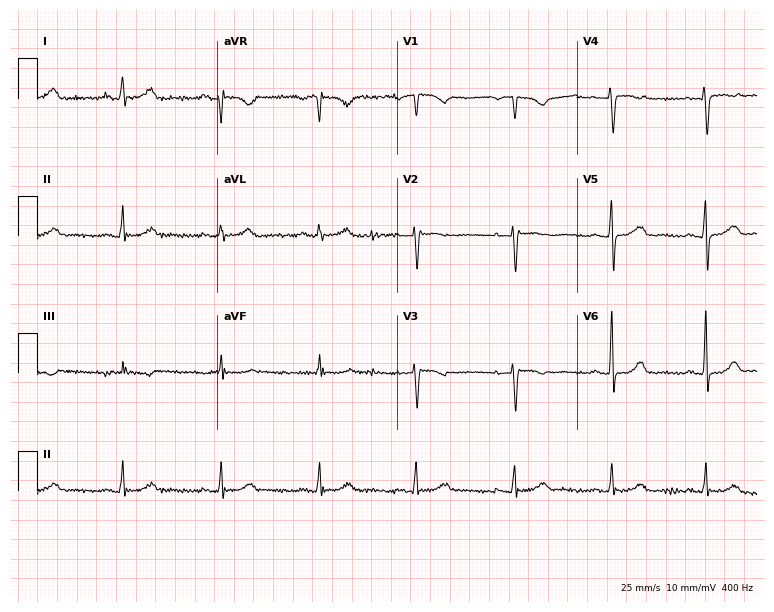
12-lead ECG from a female patient, 57 years old (7.3-second recording at 400 Hz). No first-degree AV block, right bundle branch block, left bundle branch block, sinus bradycardia, atrial fibrillation or sinus tachycardia recorded for this tracing.